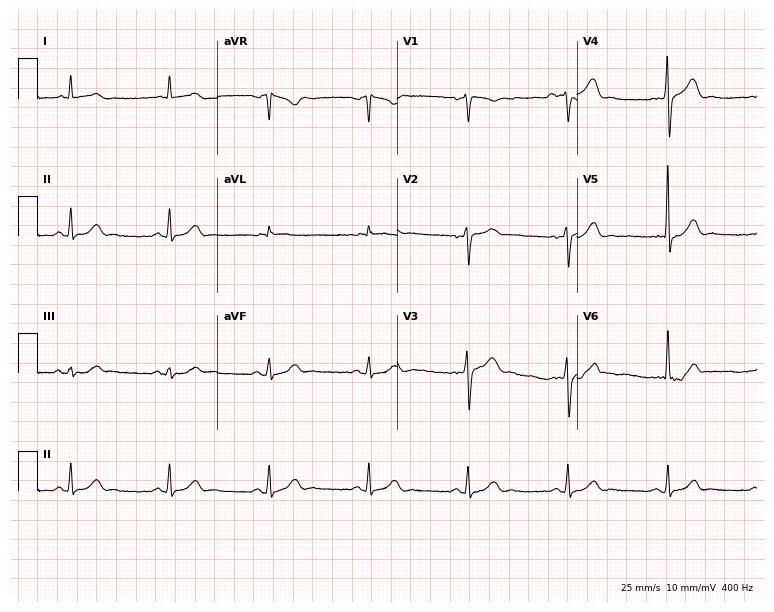
ECG (7.3-second recording at 400 Hz) — a 52-year-old male patient. Screened for six findings — first-degree AV block, right bundle branch block (RBBB), left bundle branch block (LBBB), sinus bradycardia, atrial fibrillation (AF), sinus tachycardia — none is recorded.